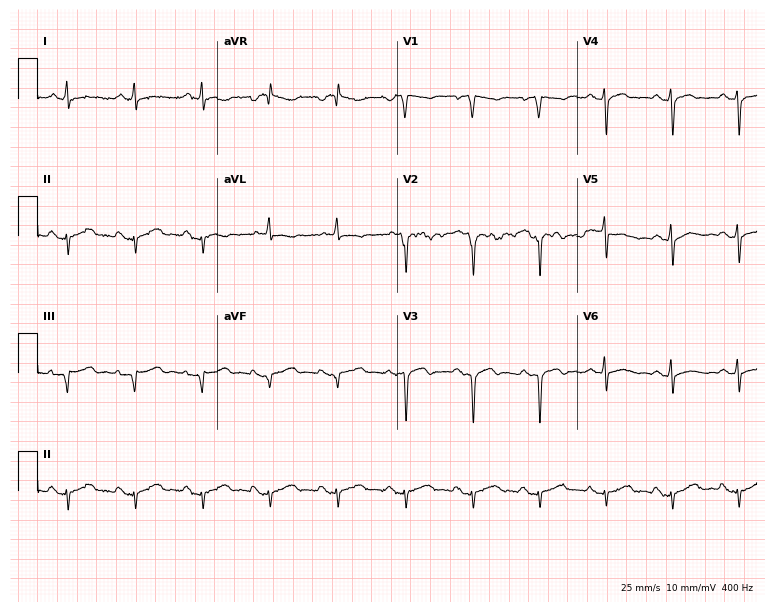
ECG — a 63-year-old man. Screened for six findings — first-degree AV block, right bundle branch block, left bundle branch block, sinus bradycardia, atrial fibrillation, sinus tachycardia — none is recorded.